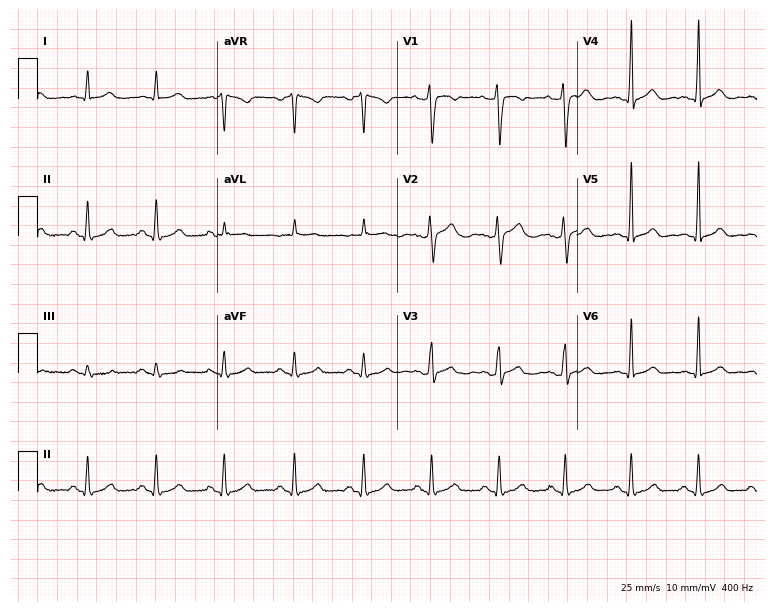
Resting 12-lead electrocardiogram. Patient: a 34-year-old male. None of these six findings is recorded: first-degree AV block, right bundle branch block (RBBB), left bundle branch block (LBBB), sinus bradycardia, atrial fibrillation (AF), sinus tachycardia. Findings outside these six are not listed.